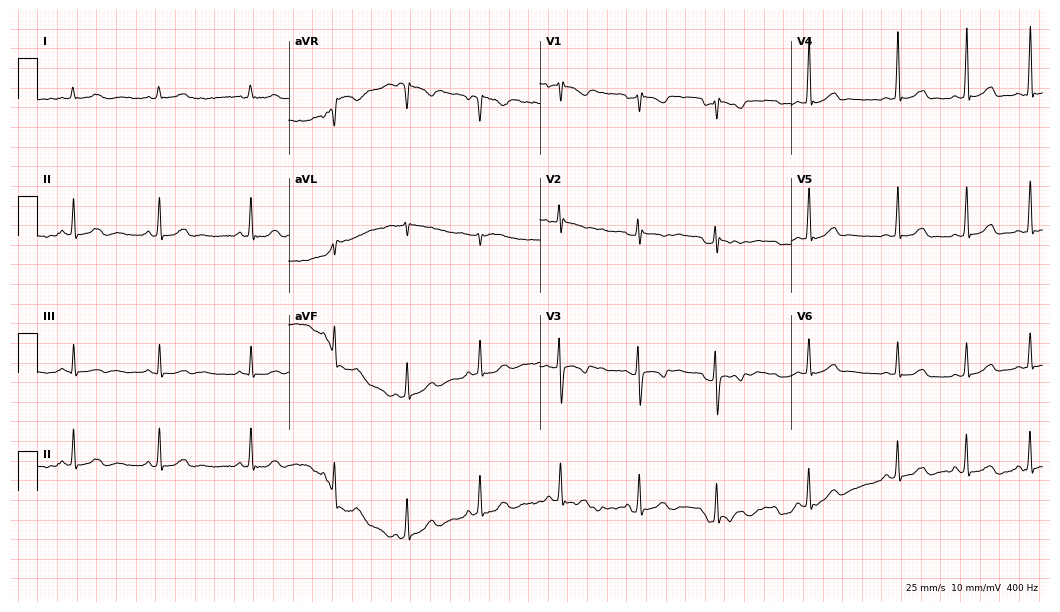
ECG — a 25-year-old woman. Screened for six findings — first-degree AV block, right bundle branch block, left bundle branch block, sinus bradycardia, atrial fibrillation, sinus tachycardia — none is recorded. Only these six findings were labelled.